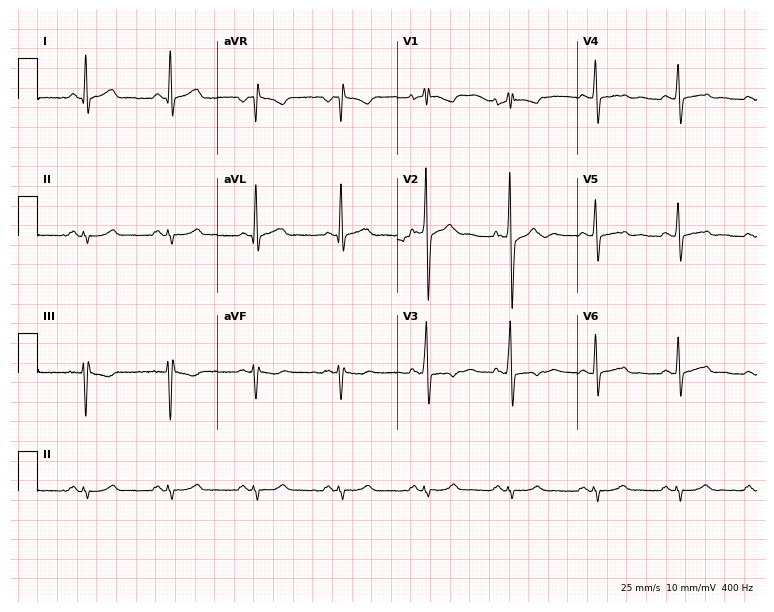
Resting 12-lead electrocardiogram (7.3-second recording at 400 Hz). Patient: a male, 44 years old. Read as a normal ECG.